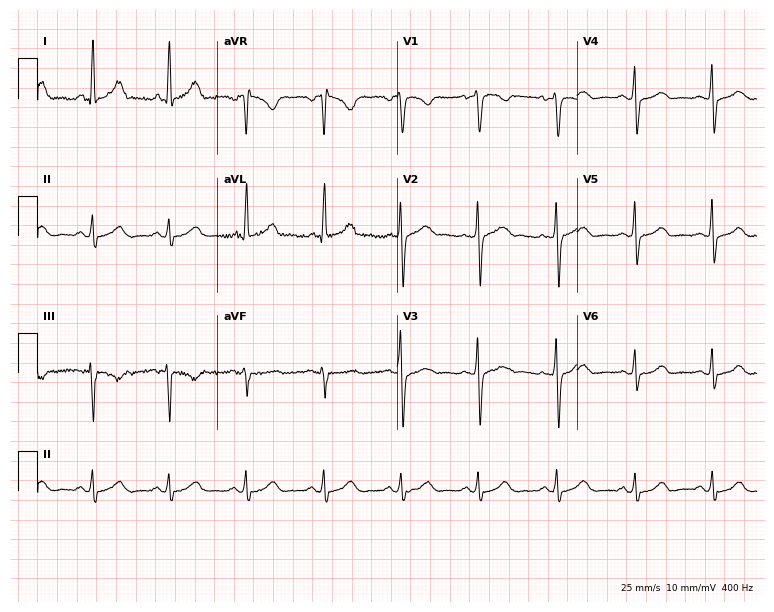
12-lead ECG from a 52-year-old female patient (7.3-second recording at 400 Hz). Recorded interpretation: within normal limits.